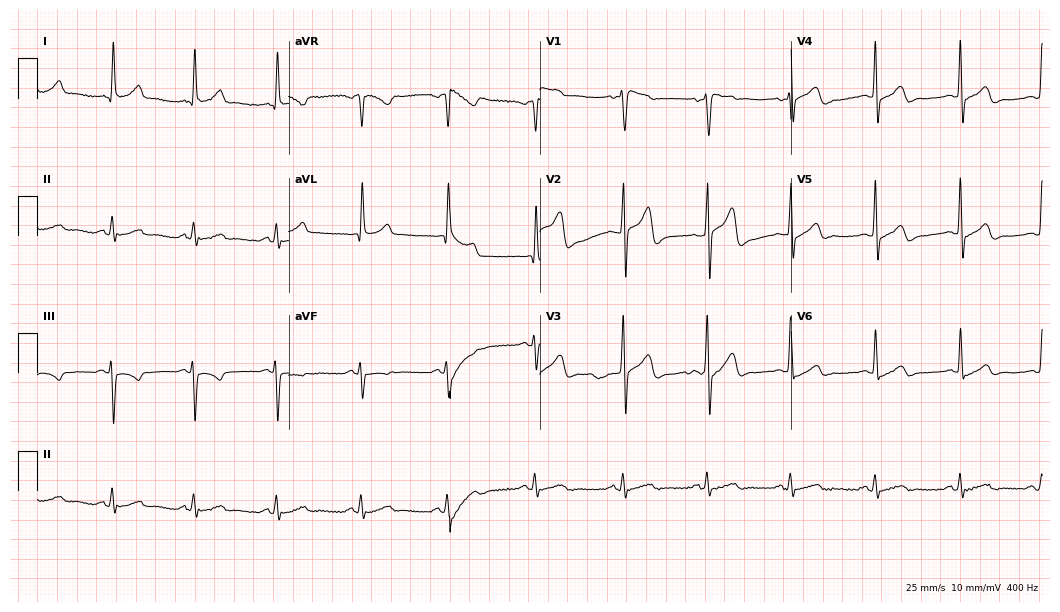
Resting 12-lead electrocardiogram. Patient: a male, 61 years old. Read as a normal ECG.